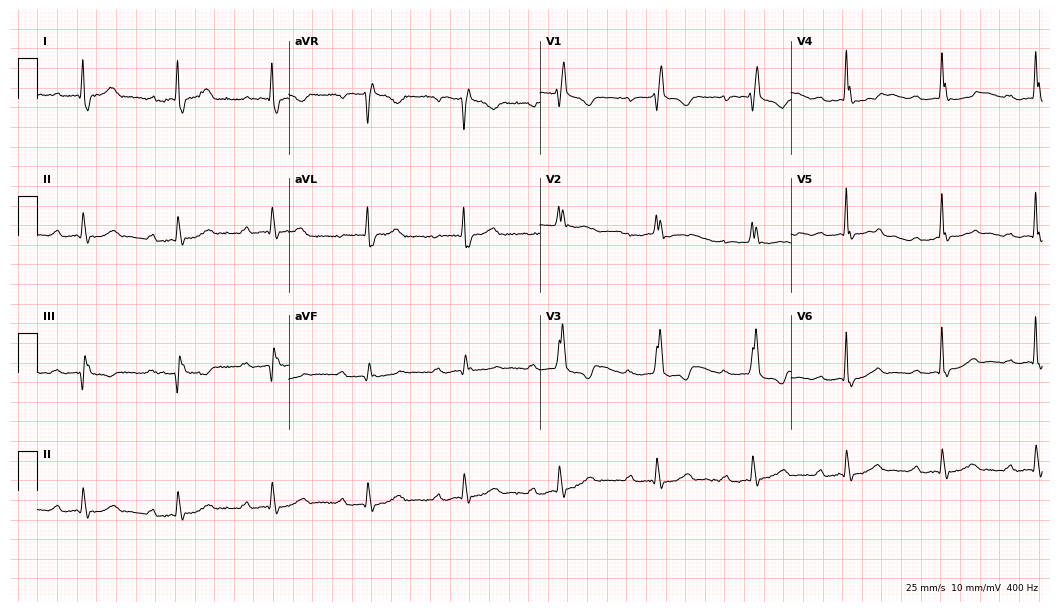
Resting 12-lead electrocardiogram. Patient: a male, 84 years old. None of these six findings is recorded: first-degree AV block, right bundle branch block, left bundle branch block, sinus bradycardia, atrial fibrillation, sinus tachycardia. Only these six findings were labelled.